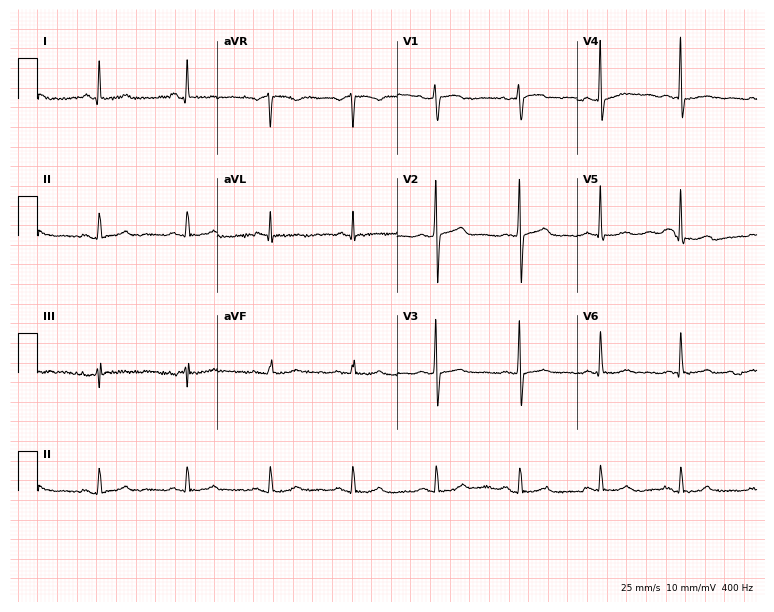
12-lead ECG from a 48-year-old woman. No first-degree AV block, right bundle branch block, left bundle branch block, sinus bradycardia, atrial fibrillation or sinus tachycardia recorded for this tracing. Other findings, if any, are not listed.